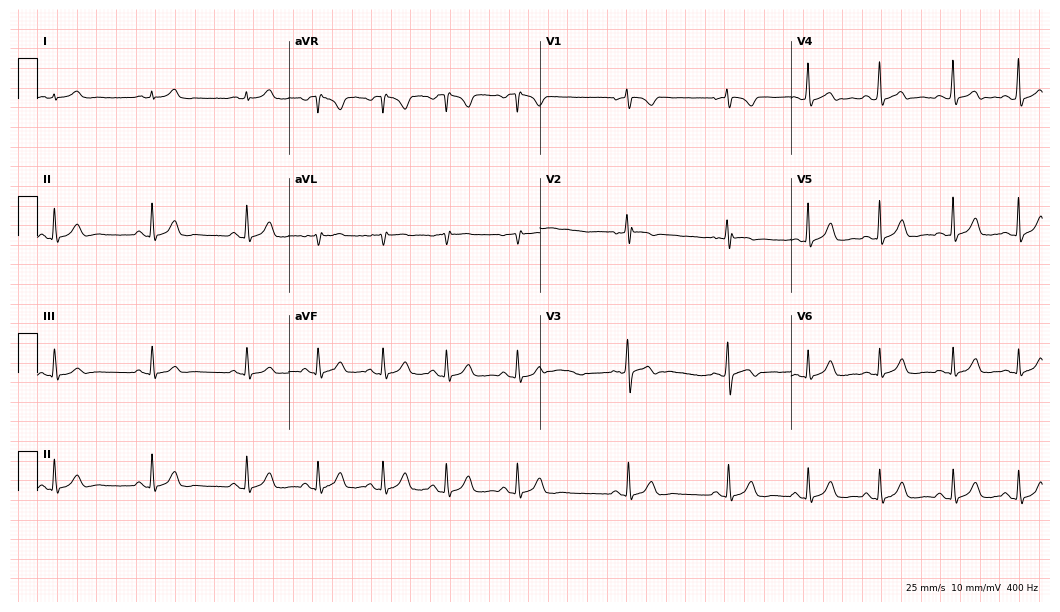
12-lead ECG from a woman, 20 years old. Recorded interpretation: within normal limits.